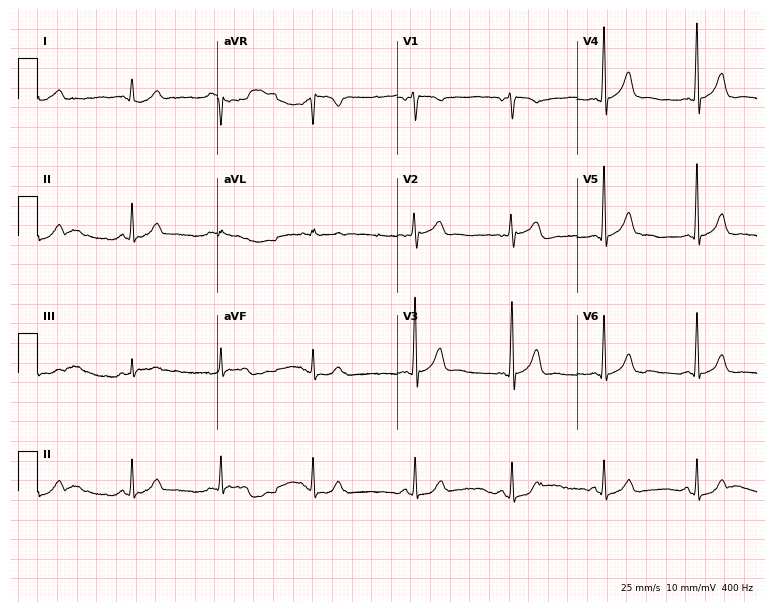
ECG (7.3-second recording at 400 Hz) — a male patient, 43 years old. Screened for six findings — first-degree AV block, right bundle branch block (RBBB), left bundle branch block (LBBB), sinus bradycardia, atrial fibrillation (AF), sinus tachycardia — none is recorded. Only these six findings were labelled.